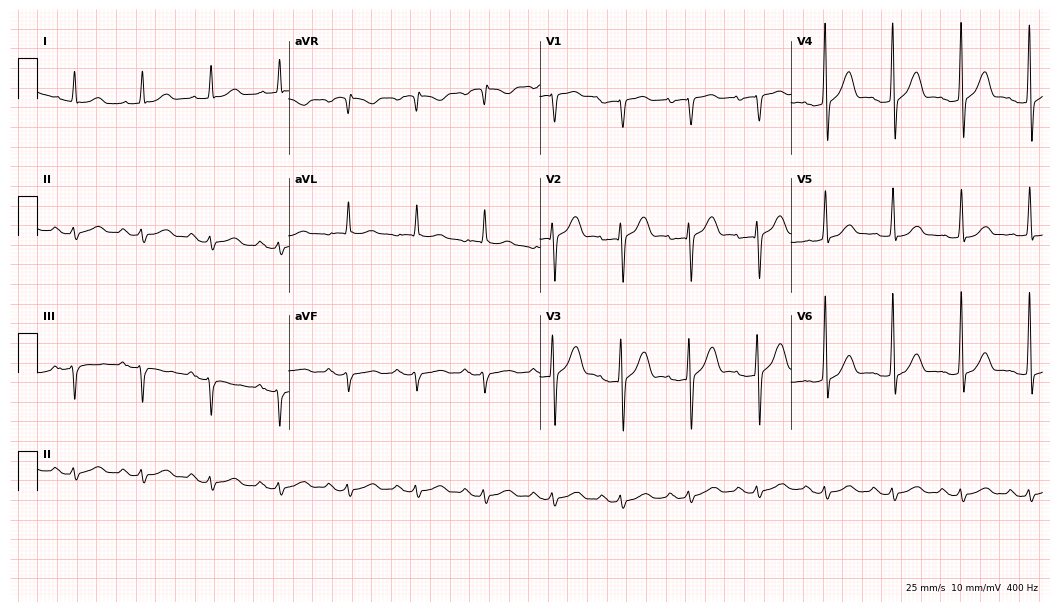
Resting 12-lead electrocardiogram (10.2-second recording at 400 Hz). Patient: a male, 79 years old. None of these six findings is recorded: first-degree AV block, right bundle branch block, left bundle branch block, sinus bradycardia, atrial fibrillation, sinus tachycardia. Findings outside these six are not listed.